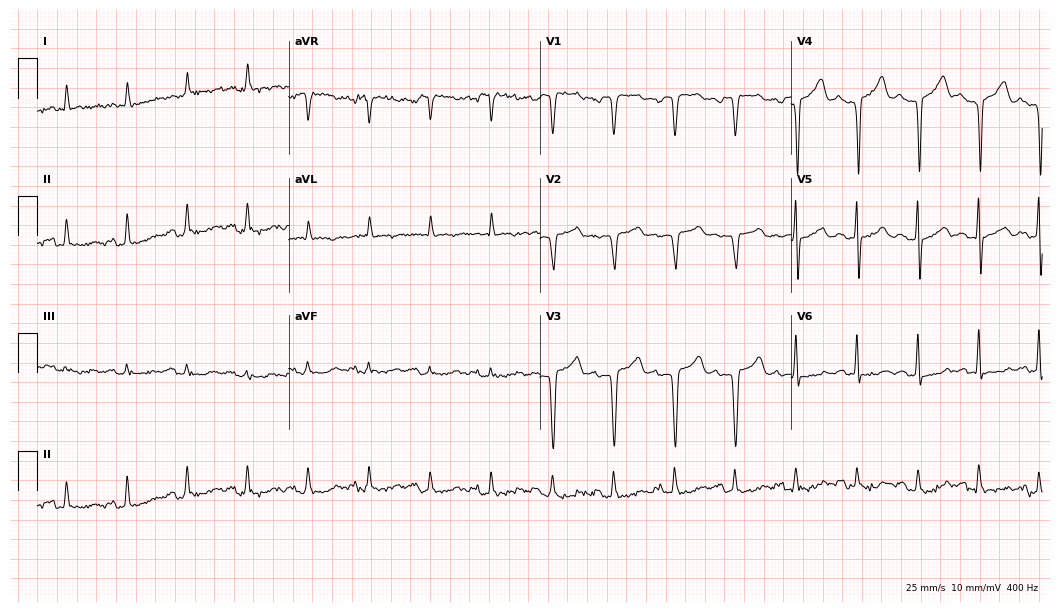
Electrocardiogram, a 67-year-old woman. Of the six screened findings (first-degree AV block, right bundle branch block, left bundle branch block, sinus bradycardia, atrial fibrillation, sinus tachycardia), none is recorded. Only these six findings were labelled.